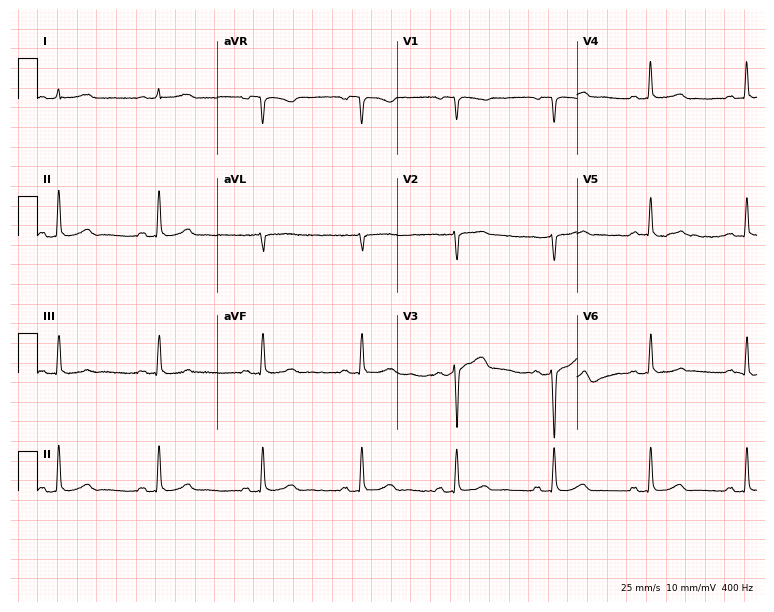
12-lead ECG from a 49-year-old female patient (7.3-second recording at 400 Hz). No first-degree AV block, right bundle branch block (RBBB), left bundle branch block (LBBB), sinus bradycardia, atrial fibrillation (AF) or sinus tachycardia recorded for this tracing.